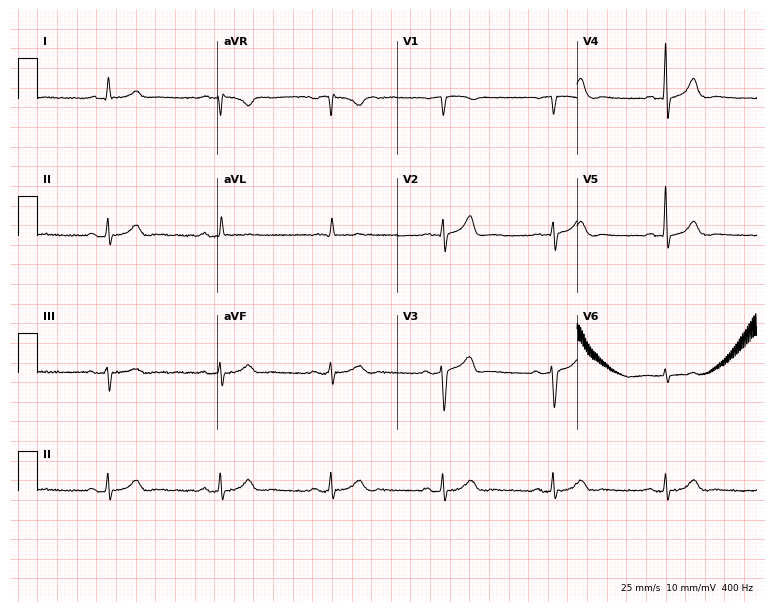
Resting 12-lead electrocardiogram. Patient: a male, 82 years old. Read as a normal ECG.